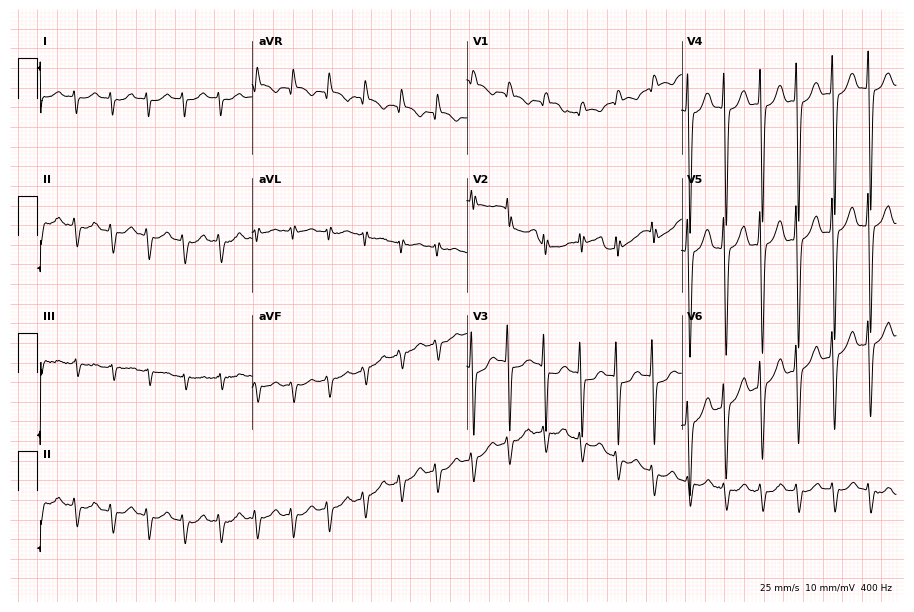
Resting 12-lead electrocardiogram (8.8-second recording at 400 Hz). Patient: a female, 58 years old. The tracing shows sinus tachycardia (a sinus rate of 100 beats per minute or more).